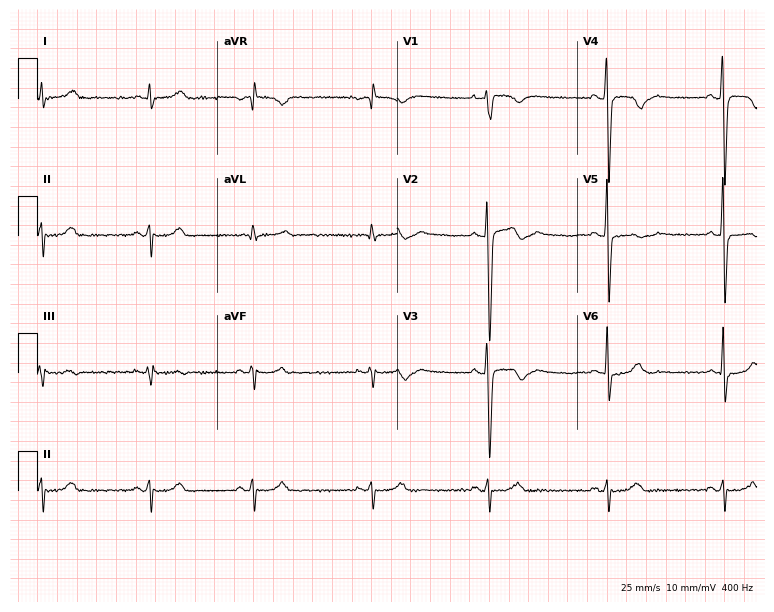
Standard 12-lead ECG recorded from a male, 38 years old. None of these six findings is recorded: first-degree AV block, right bundle branch block, left bundle branch block, sinus bradycardia, atrial fibrillation, sinus tachycardia. Findings outside these six are not listed.